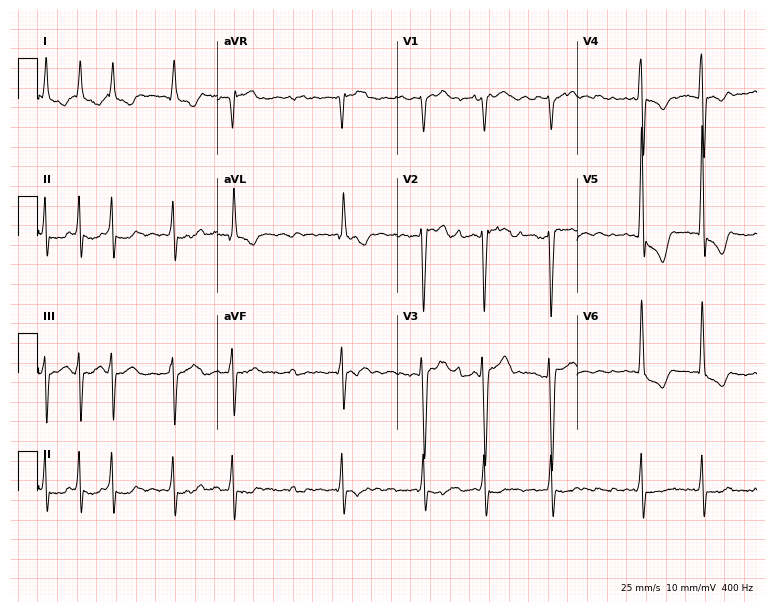
Electrocardiogram (7.3-second recording at 400 Hz), a man, 59 years old. Interpretation includes atrial fibrillation (AF).